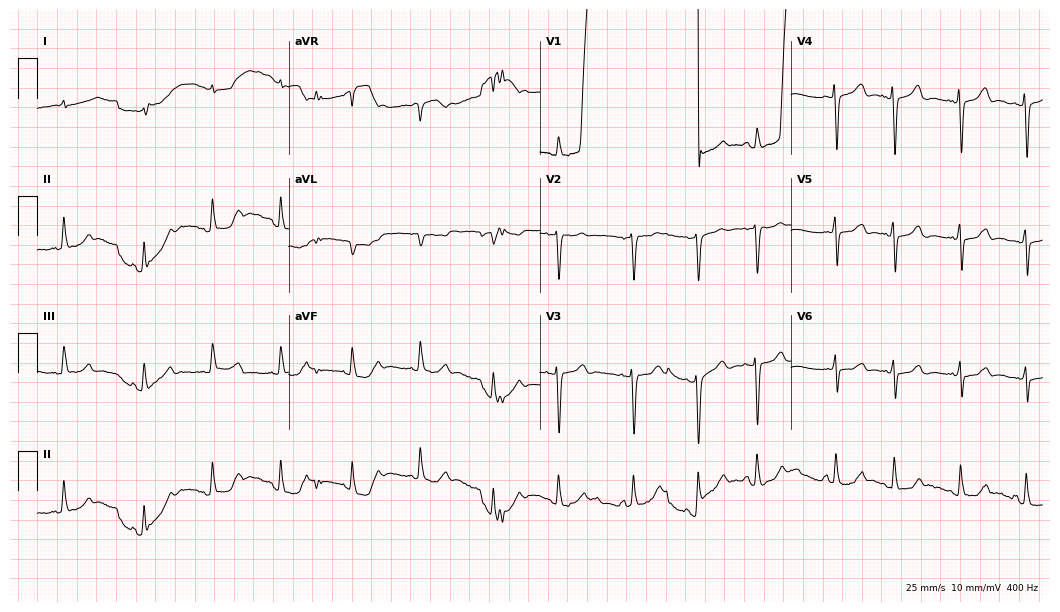
Standard 12-lead ECG recorded from a man, 82 years old. None of these six findings is recorded: first-degree AV block, right bundle branch block, left bundle branch block, sinus bradycardia, atrial fibrillation, sinus tachycardia. Findings outside these six are not listed.